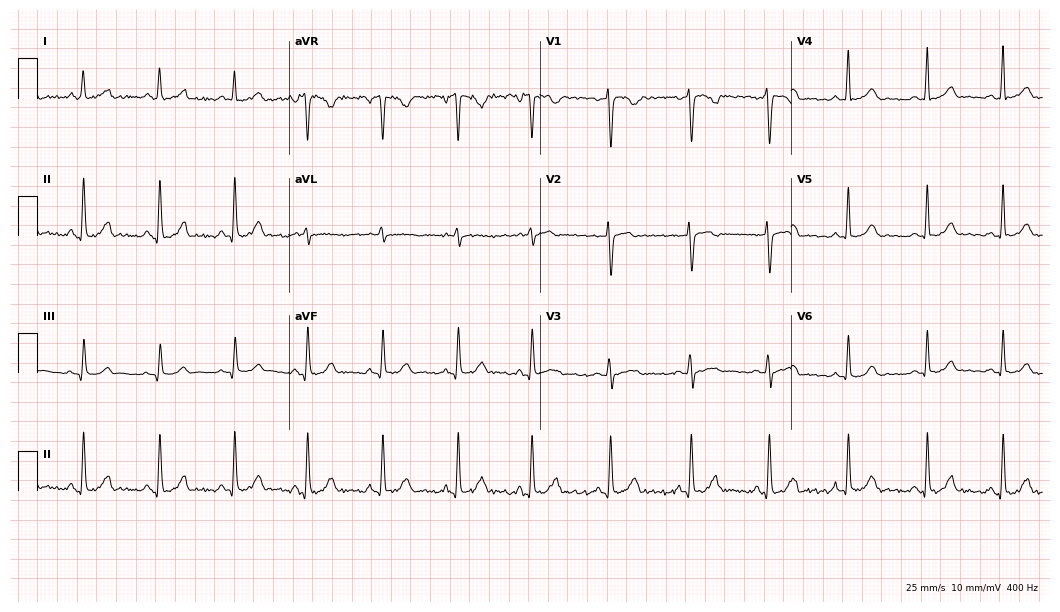
12-lead ECG from a 39-year-old female patient. Recorded interpretation: within normal limits.